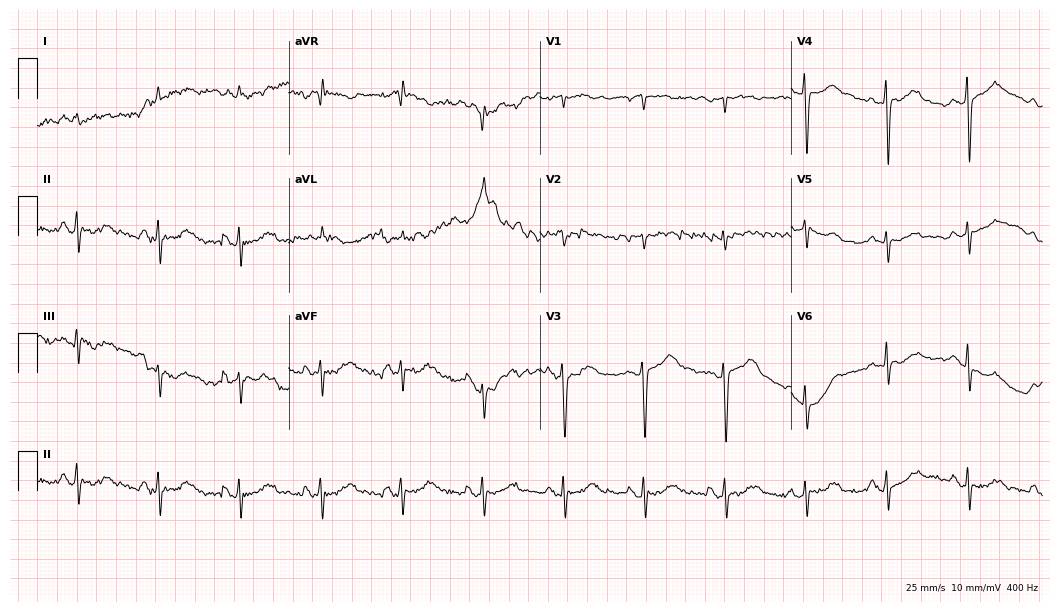
Electrocardiogram (10.2-second recording at 400 Hz), a 76-year-old female. Of the six screened findings (first-degree AV block, right bundle branch block, left bundle branch block, sinus bradycardia, atrial fibrillation, sinus tachycardia), none is recorded. Other findings, if any, are not listed.